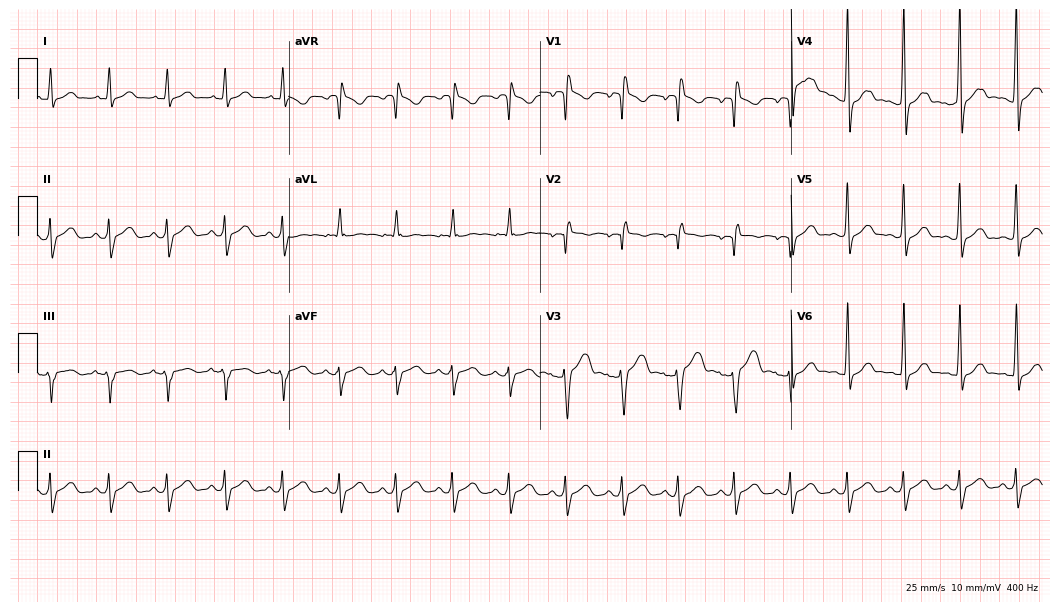
Electrocardiogram (10.2-second recording at 400 Hz), a 24-year-old male patient. Interpretation includes sinus tachycardia (a sinus rate of 100 beats per minute or more).